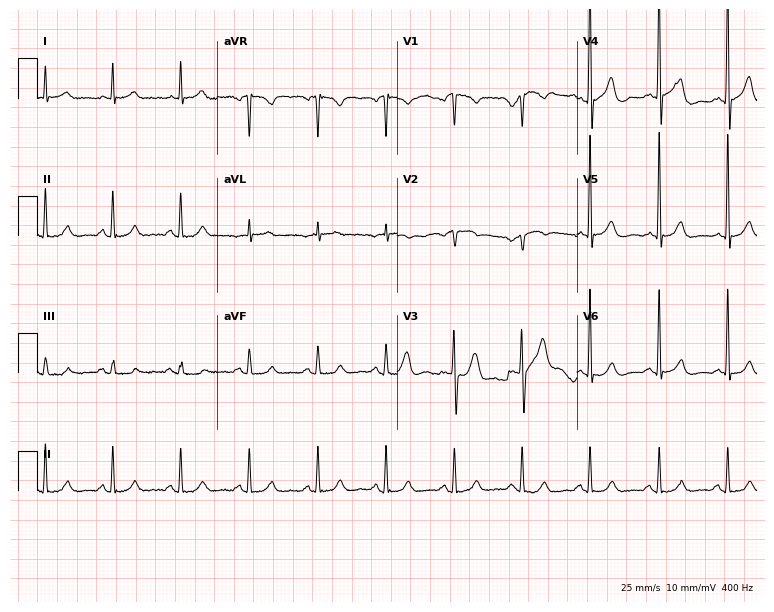
12-lead ECG from a man, 82 years old (7.3-second recording at 400 Hz). No first-degree AV block, right bundle branch block (RBBB), left bundle branch block (LBBB), sinus bradycardia, atrial fibrillation (AF) or sinus tachycardia recorded for this tracing.